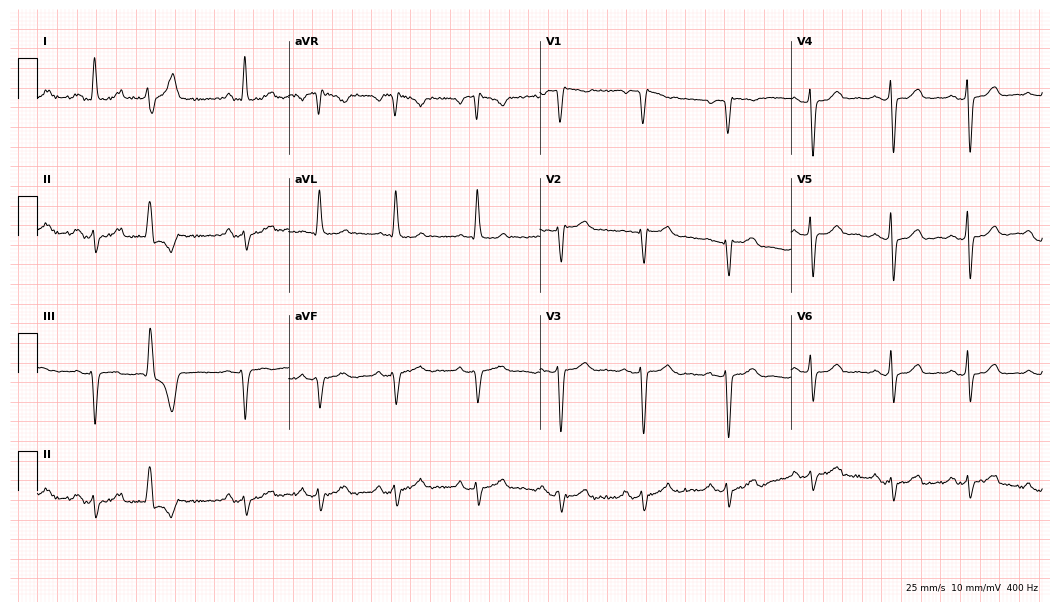
12-lead ECG (10.2-second recording at 400 Hz) from a 55-year-old woman. Screened for six findings — first-degree AV block, right bundle branch block, left bundle branch block, sinus bradycardia, atrial fibrillation, sinus tachycardia — none is recorded.